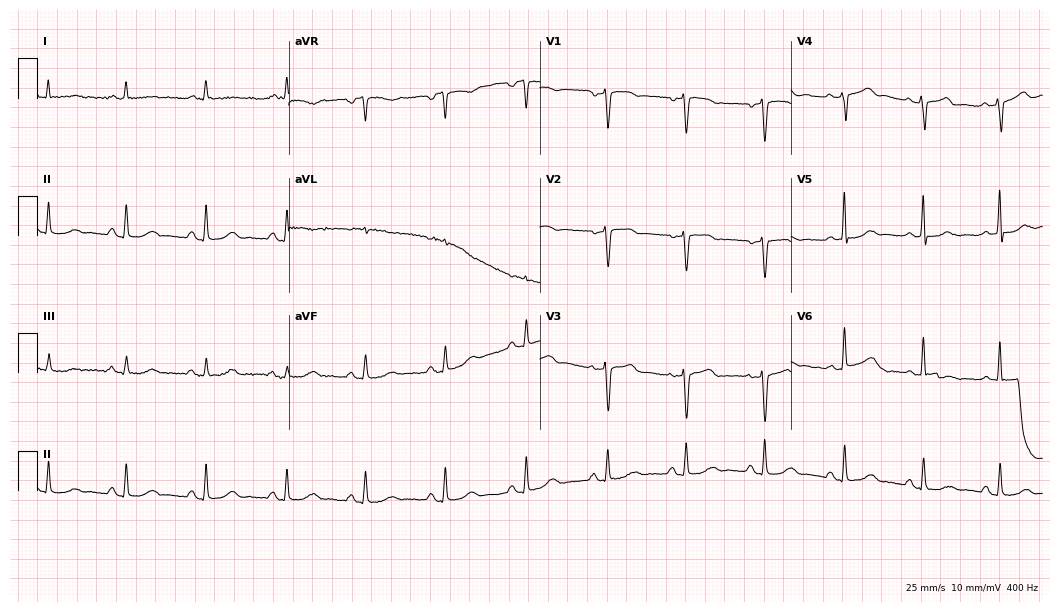
12-lead ECG from a 68-year-old woman. Screened for six findings — first-degree AV block, right bundle branch block (RBBB), left bundle branch block (LBBB), sinus bradycardia, atrial fibrillation (AF), sinus tachycardia — none is recorded. Findings outside these six are not listed.